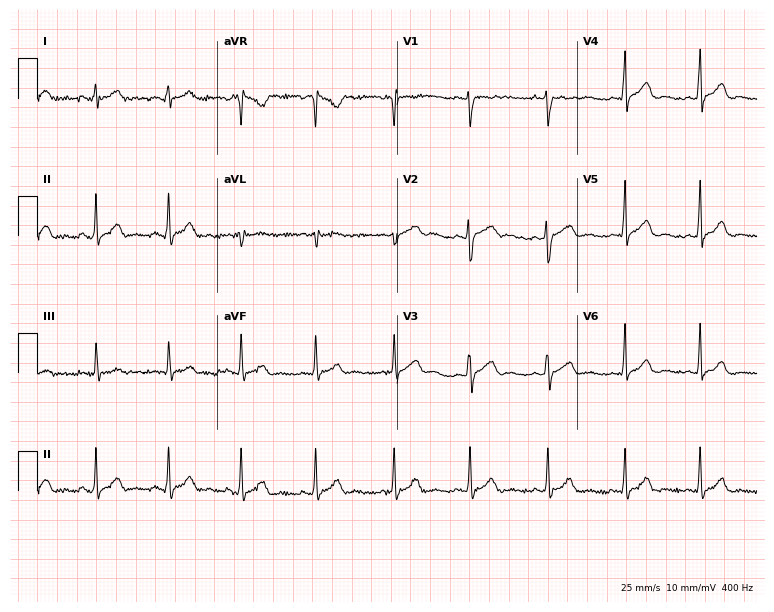
Resting 12-lead electrocardiogram (7.3-second recording at 400 Hz). Patient: a woman, 26 years old. Read as a normal ECG.